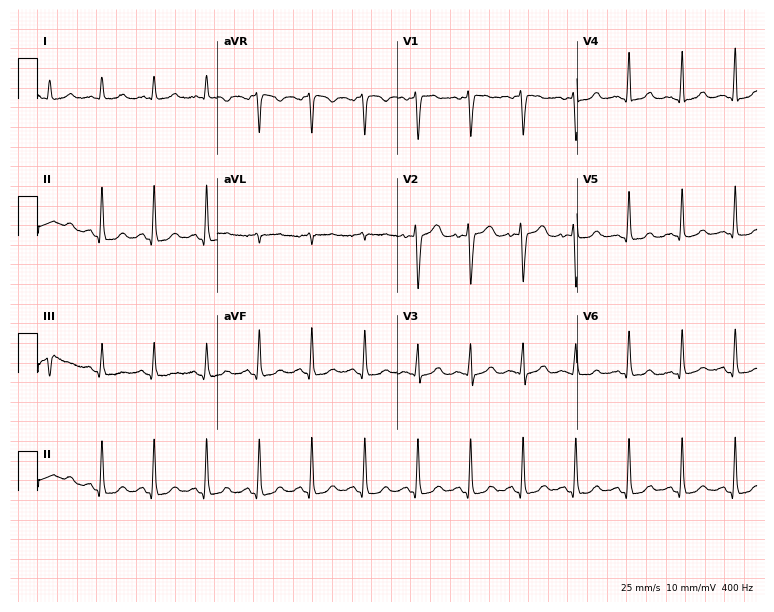
Electrocardiogram, a 42-year-old female. Interpretation includes sinus tachycardia (a sinus rate of 100 beats per minute or more).